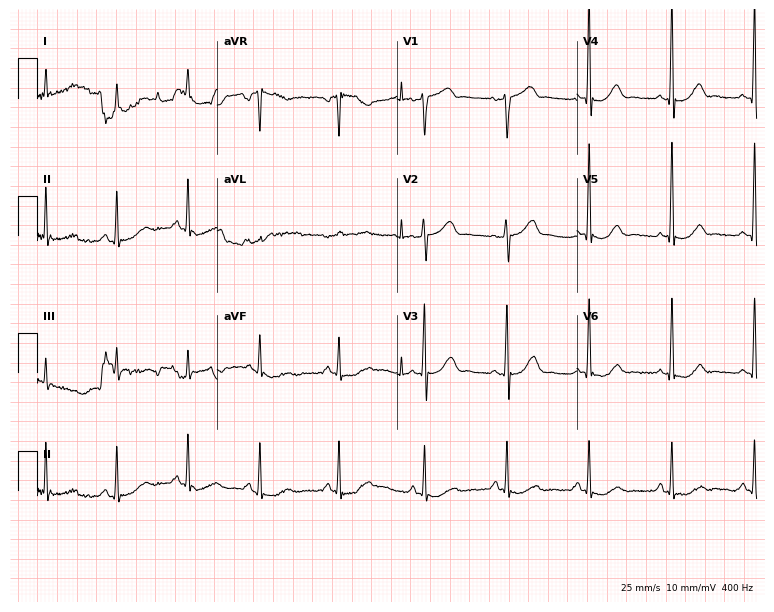
Electrocardiogram (7.3-second recording at 400 Hz), a 69-year-old male patient. Of the six screened findings (first-degree AV block, right bundle branch block (RBBB), left bundle branch block (LBBB), sinus bradycardia, atrial fibrillation (AF), sinus tachycardia), none is recorded.